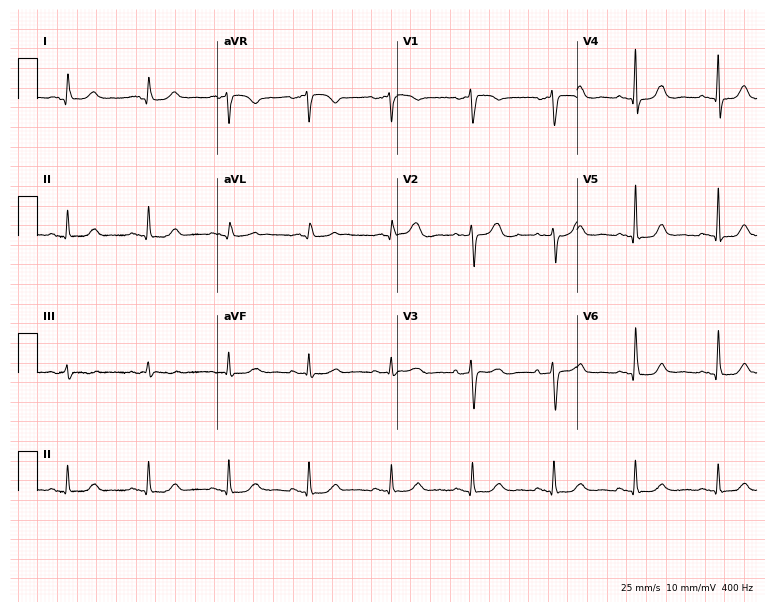
Resting 12-lead electrocardiogram. Patient: a 79-year-old man. Read as a normal ECG.